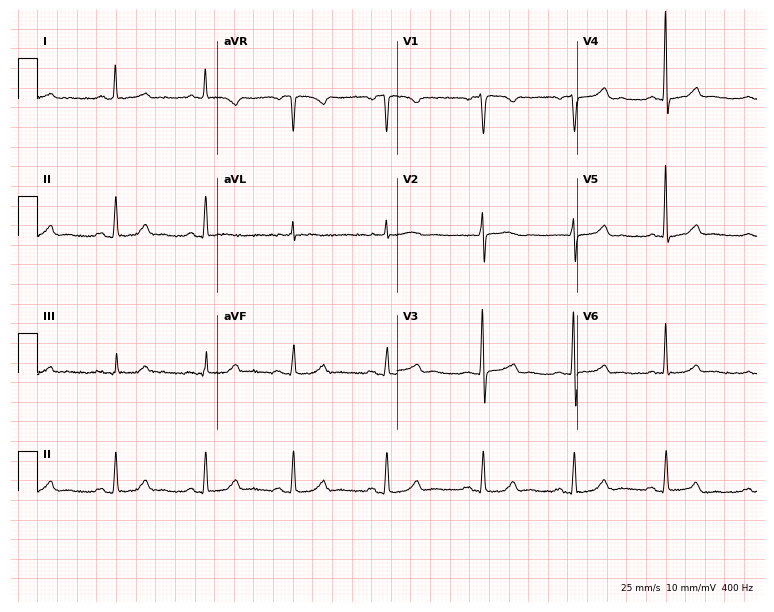
Electrocardiogram (7.3-second recording at 400 Hz), a 48-year-old woman. Overall reading on record: normal ECG.